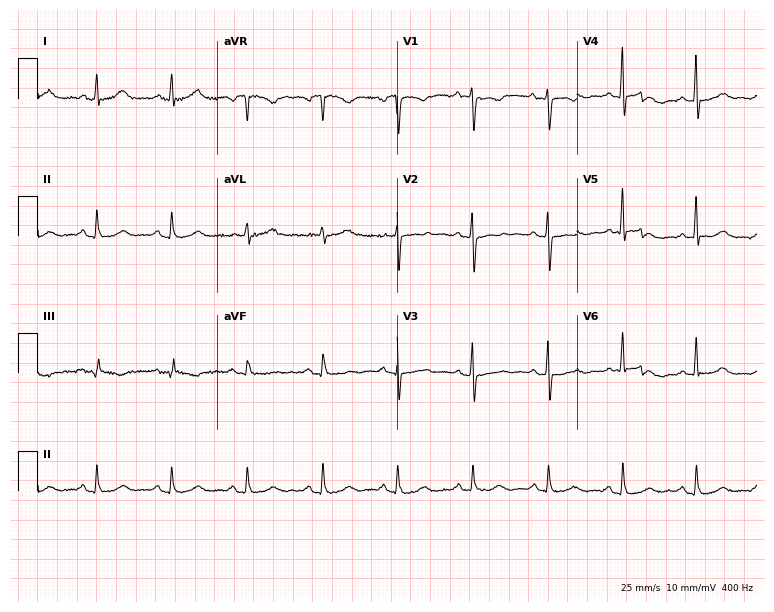
ECG (7.3-second recording at 400 Hz) — a 43-year-old female. Labelled as a normal ECG.